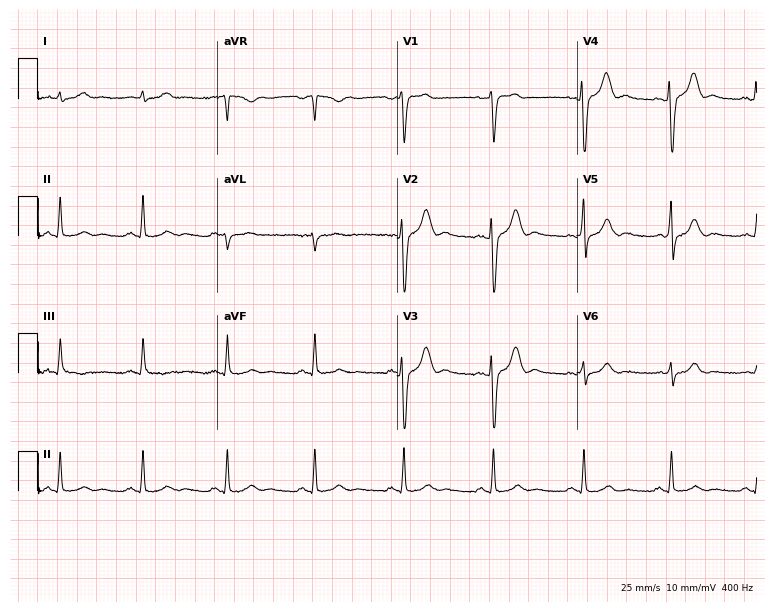
ECG — a 33-year-old male patient. Screened for six findings — first-degree AV block, right bundle branch block, left bundle branch block, sinus bradycardia, atrial fibrillation, sinus tachycardia — none is recorded. Other findings, if any, are not listed.